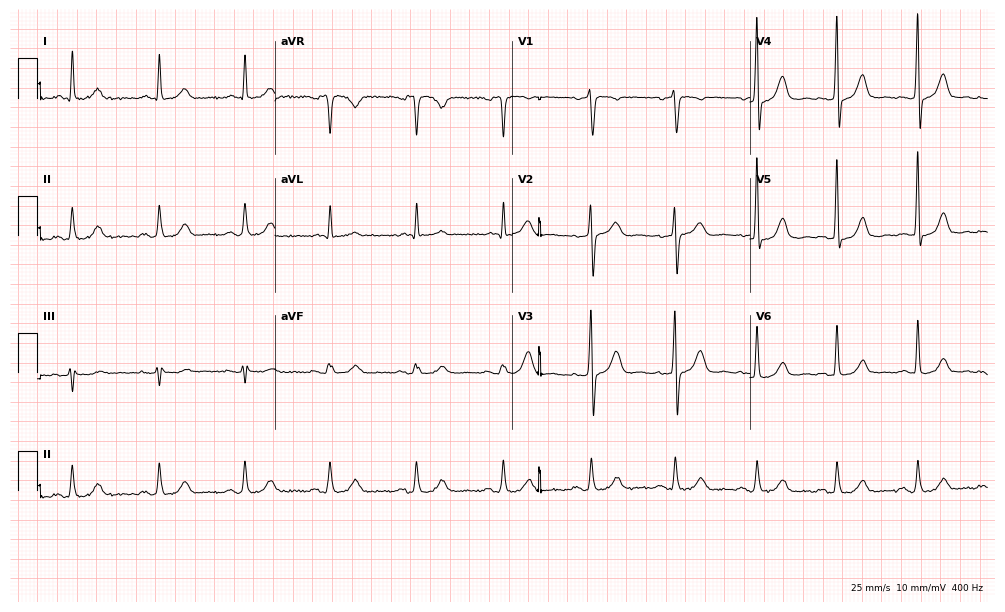
ECG — a 68-year-old male. Screened for six findings — first-degree AV block, right bundle branch block (RBBB), left bundle branch block (LBBB), sinus bradycardia, atrial fibrillation (AF), sinus tachycardia — none is recorded.